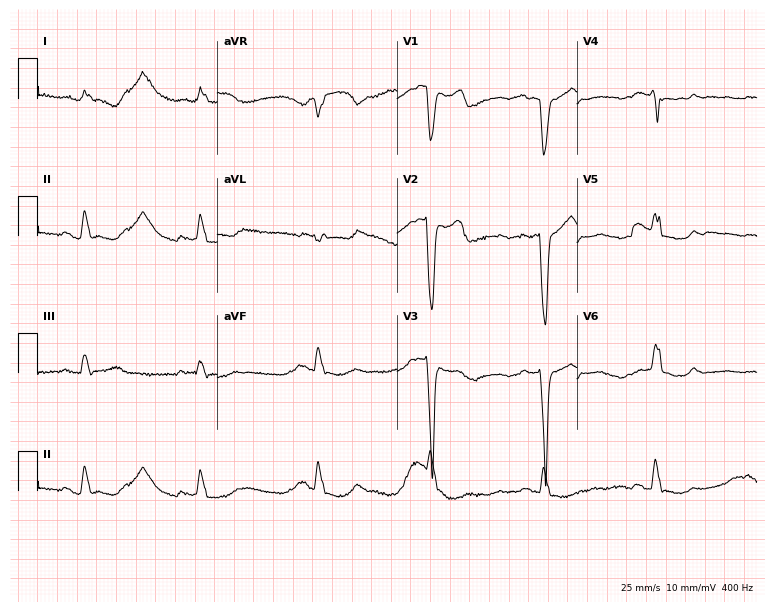
ECG — a male patient, 69 years old. Findings include left bundle branch block.